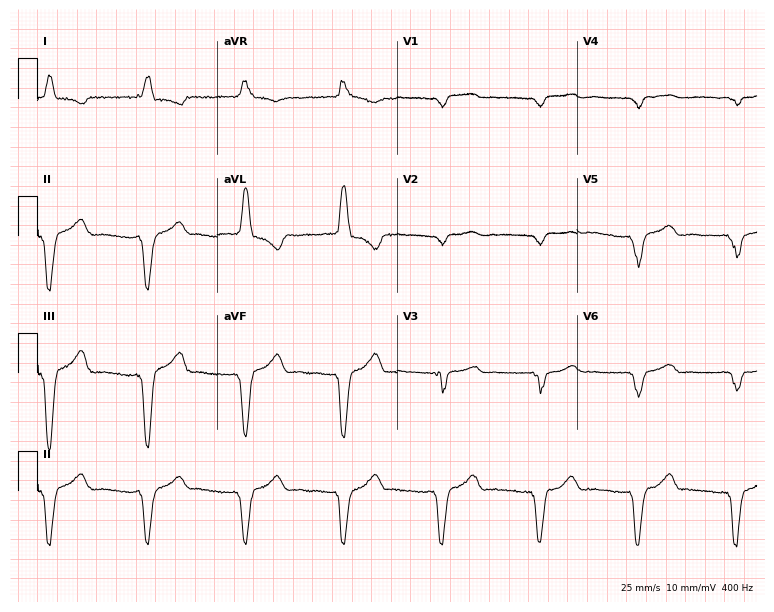
Electrocardiogram, a female patient, 73 years old. Of the six screened findings (first-degree AV block, right bundle branch block (RBBB), left bundle branch block (LBBB), sinus bradycardia, atrial fibrillation (AF), sinus tachycardia), none is recorded.